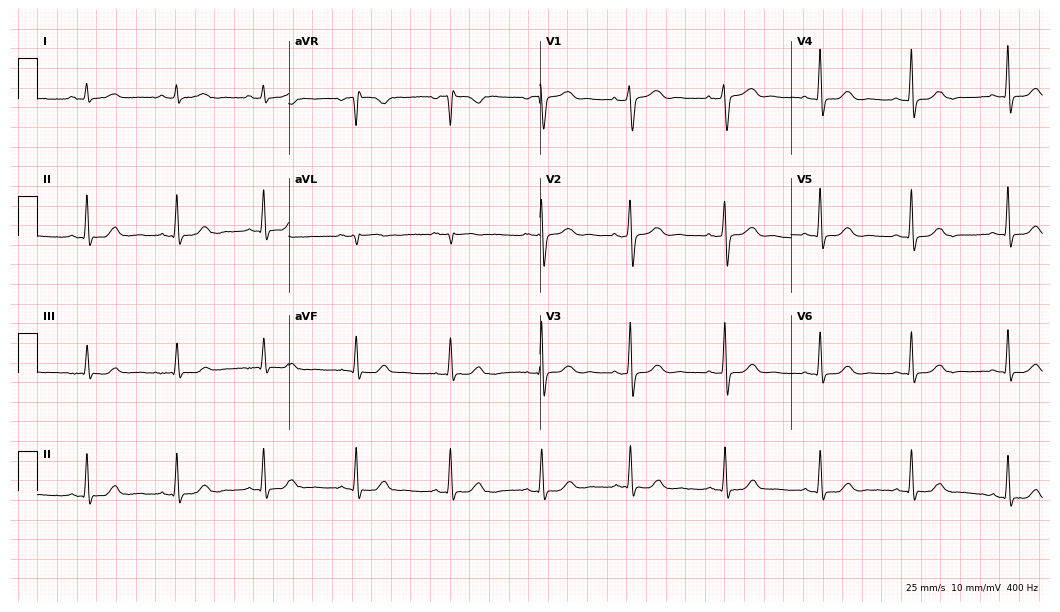
ECG (10.2-second recording at 400 Hz) — a female, 57 years old. Labelled as a normal ECG.